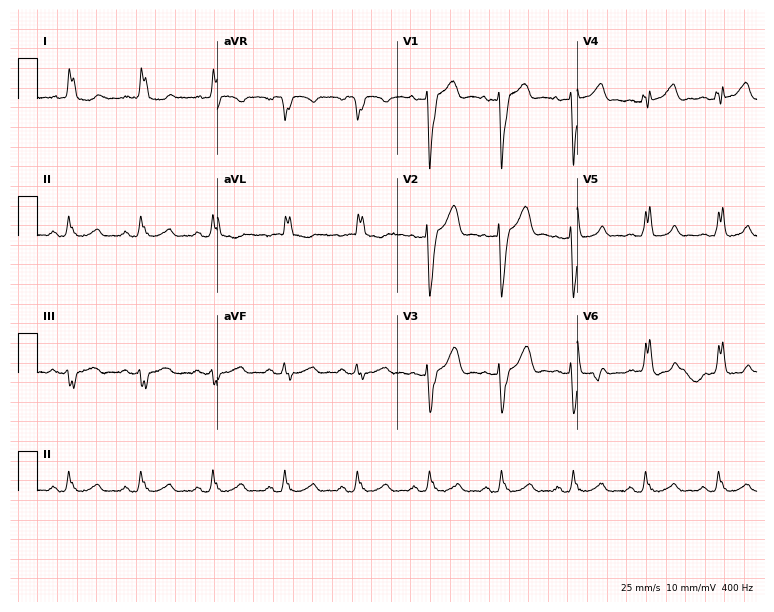
Resting 12-lead electrocardiogram (7.3-second recording at 400 Hz). Patient: a 66-year-old female. The tracing shows left bundle branch block.